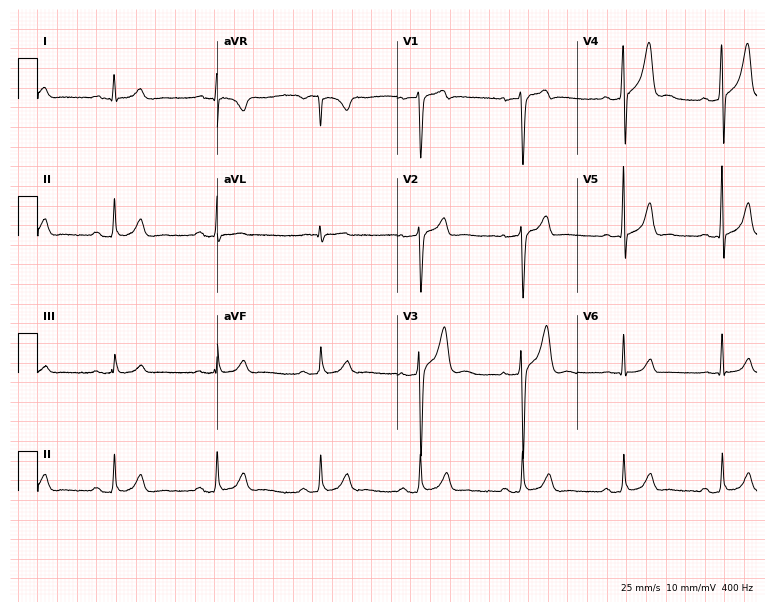
Electrocardiogram, a male, 39 years old. Overall reading on record: normal ECG.